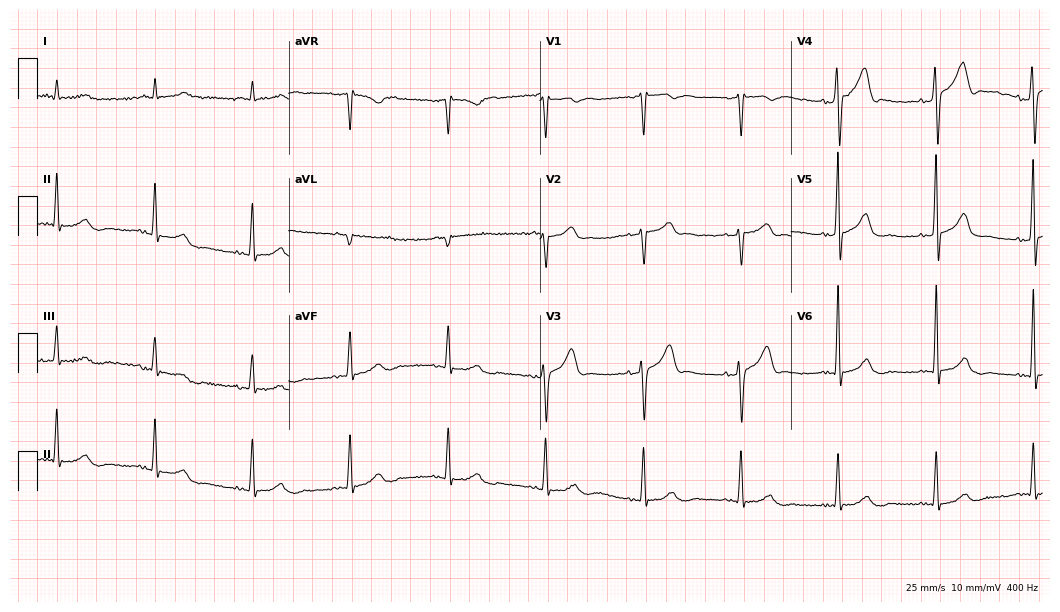
12-lead ECG (10.2-second recording at 400 Hz) from a male, 73 years old. Labelled as a normal ECG.